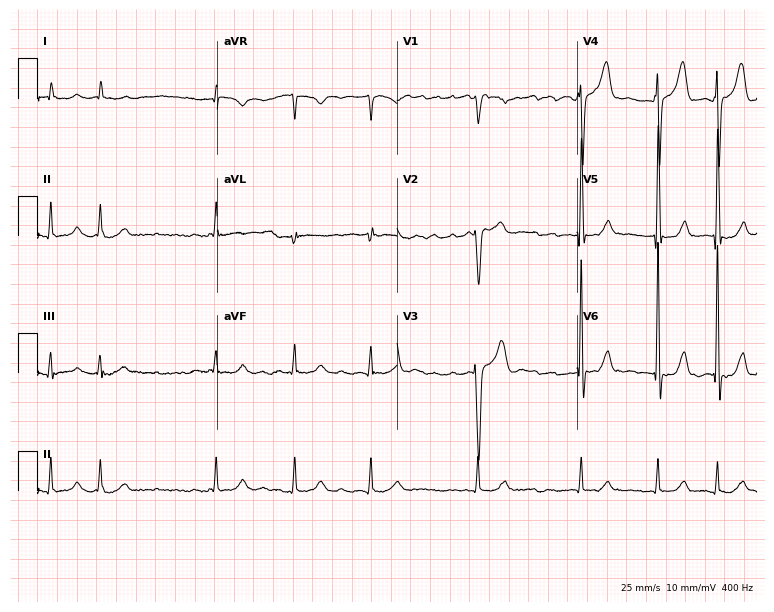
Electrocardiogram, a man, 85 years old. Interpretation includes atrial fibrillation.